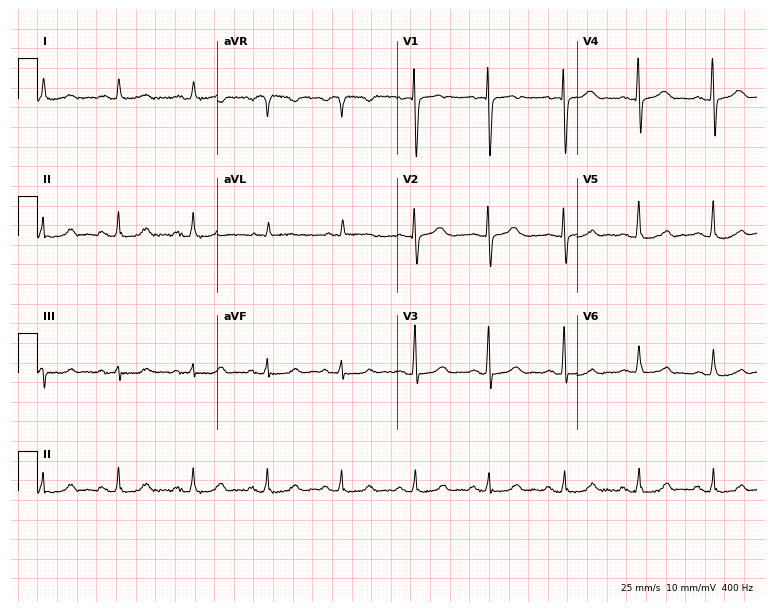
Resting 12-lead electrocardiogram. Patient: an 82-year-old woman. None of these six findings is recorded: first-degree AV block, right bundle branch block, left bundle branch block, sinus bradycardia, atrial fibrillation, sinus tachycardia.